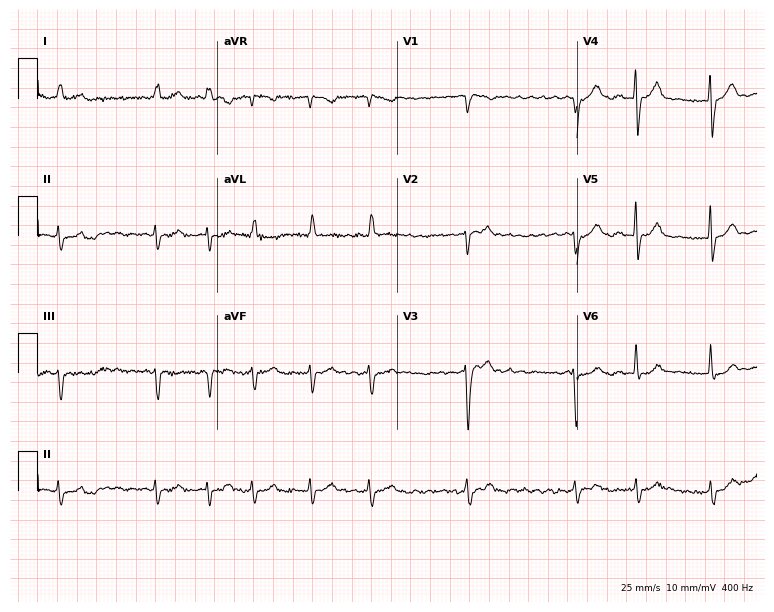
Standard 12-lead ECG recorded from an 81-year-old male patient (7.3-second recording at 400 Hz). The tracing shows atrial fibrillation.